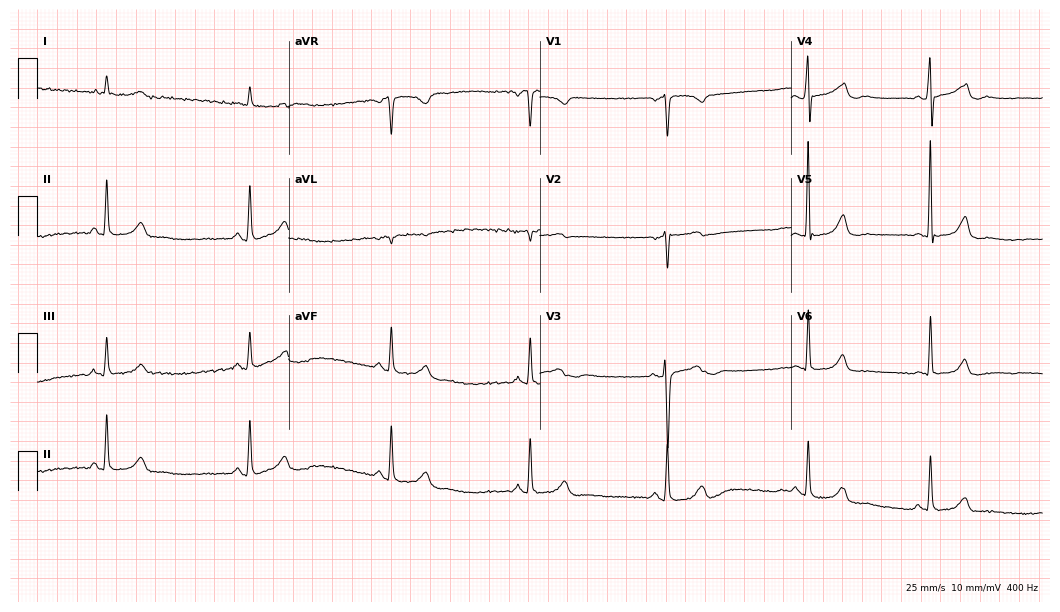
ECG (10.2-second recording at 400 Hz) — a 49-year-old woman. Findings include sinus bradycardia (a sinus rate of 50 beats per minute or less).